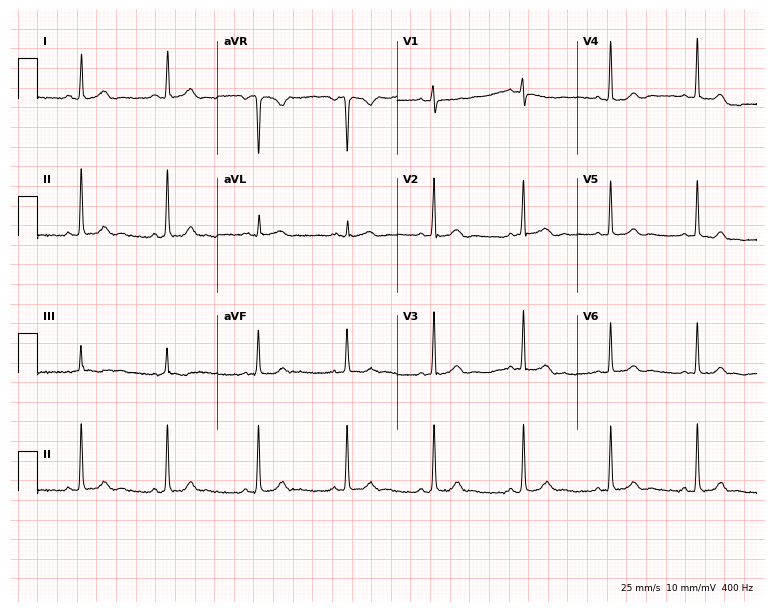
12-lead ECG from a 28-year-old female (7.3-second recording at 400 Hz). Recorded interpretation: within normal limits.